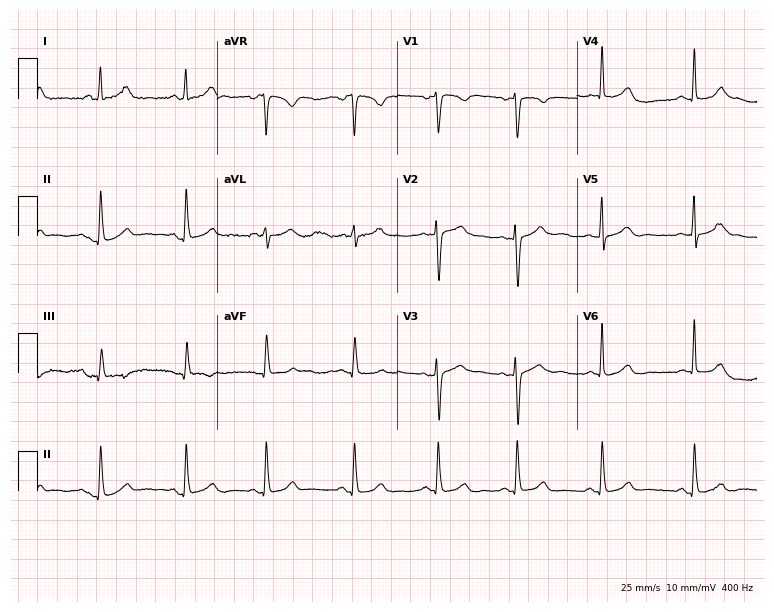
ECG — a woman, 35 years old. Labelled as a normal ECG.